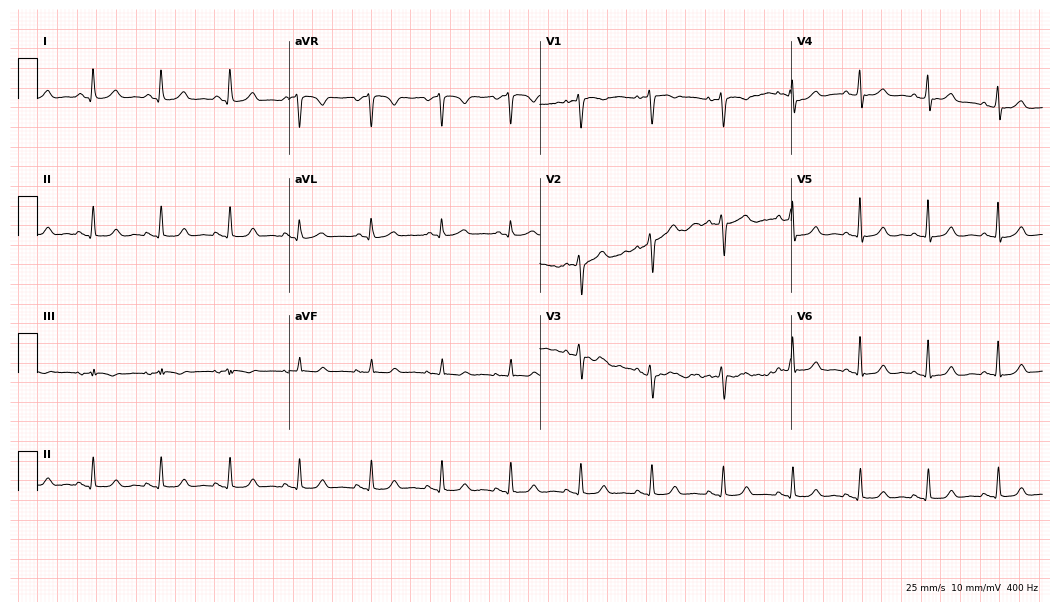
Resting 12-lead electrocardiogram (10.2-second recording at 400 Hz). Patient: a 43-year-old woman. Read as a normal ECG.